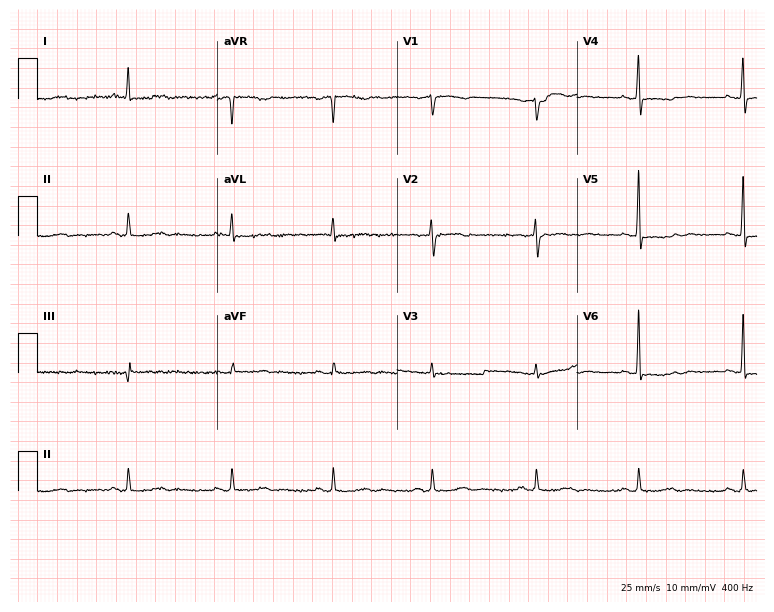
Standard 12-lead ECG recorded from a 63-year-old woman (7.3-second recording at 400 Hz). None of these six findings is recorded: first-degree AV block, right bundle branch block (RBBB), left bundle branch block (LBBB), sinus bradycardia, atrial fibrillation (AF), sinus tachycardia. Other findings, if any, are not listed.